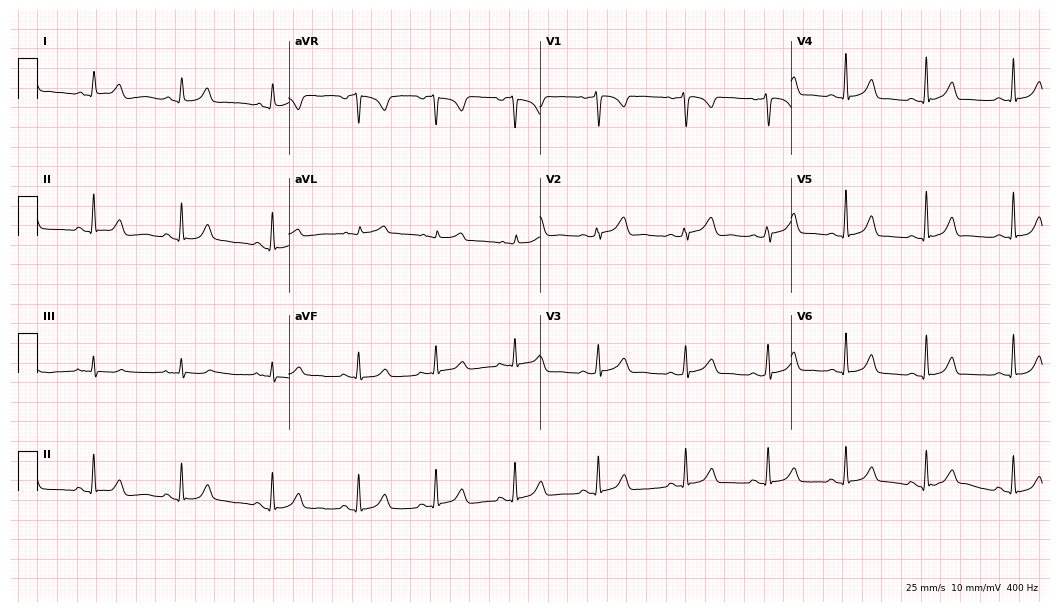
12-lead ECG (10.2-second recording at 400 Hz) from a 26-year-old female. Labelled as a normal ECG.